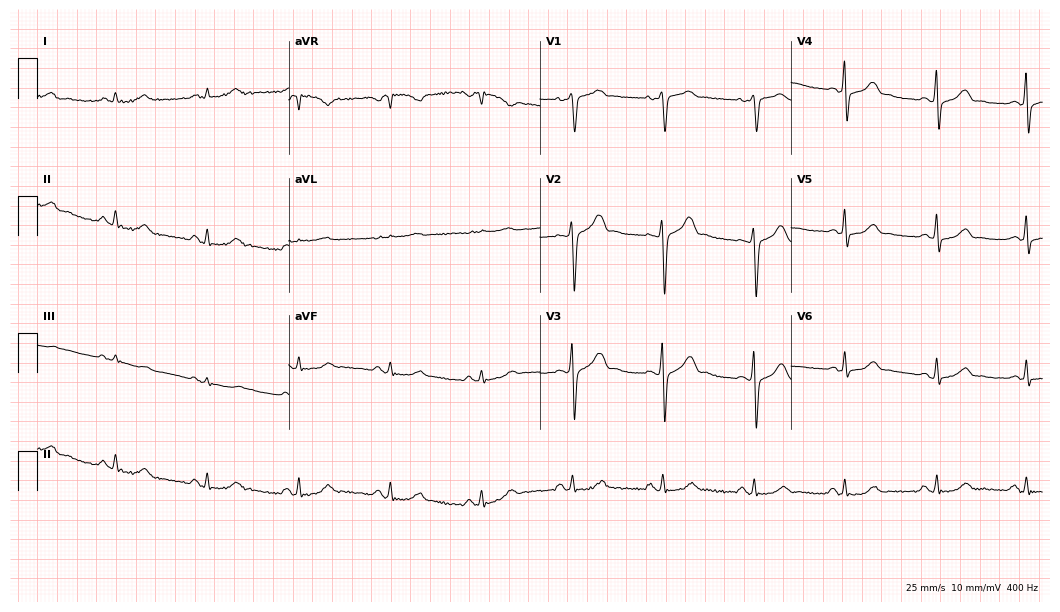
Resting 12-lead electrocardiogram. Patient: a male, 60 years old. None of these six findings is recorded: first-degree AV block, right bundle branch block, left bundle branch block, sinus bradycardia, atrial fibrillation, sinus tachycardia. Other findings, if any, are not listed.